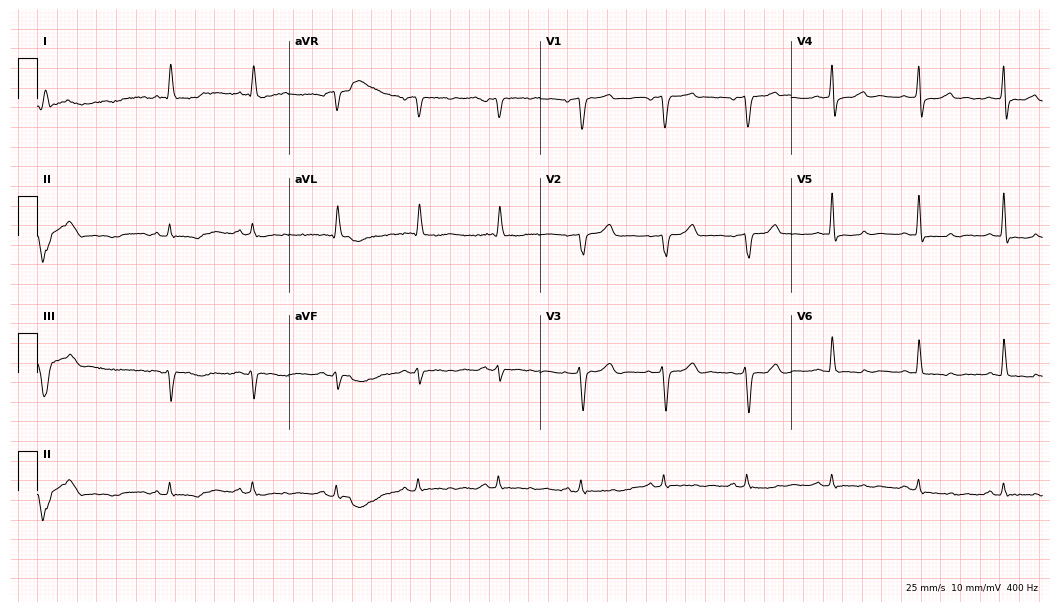
Electrocardiogram, an 81-year-old male patient. Of the six screened findings (first-degree AV block, right bundle branch block, left bundle branch block, sinus bradycardia, atrial fibrillation, sinus tachycardia), none is recorded. Only these six findings were labelled.